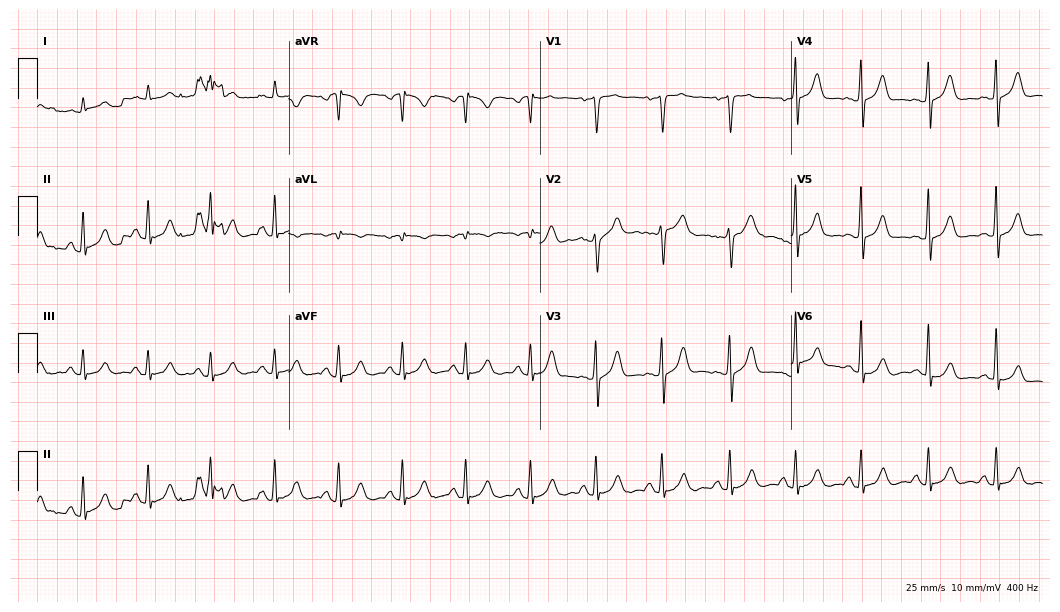
Resting 12-lead electrocardiogram. Patient: a 65-year-old male. None of these six findings is recorded: first-degree AV block, right bundle branch block (RBBB), left bundle branch block (LBBB), sinus bradycardia, atrial fibrillation (AF), sinus tachycardia.